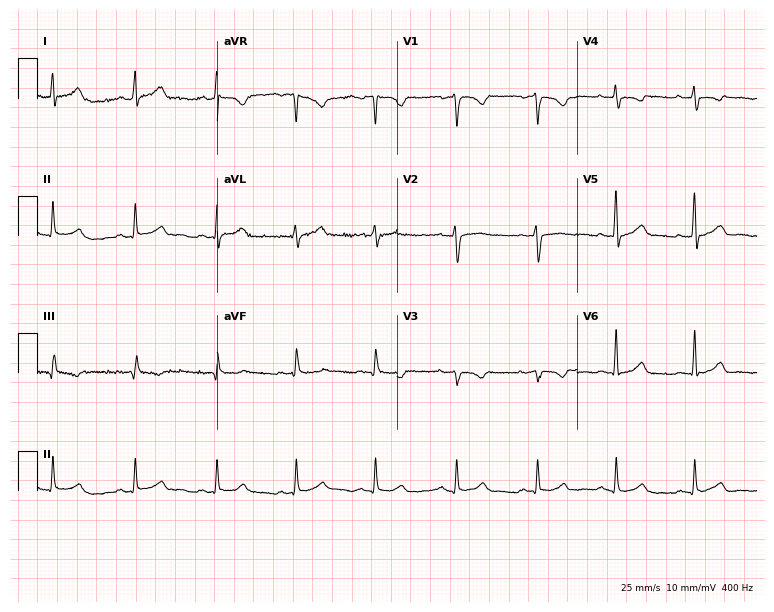
12-lead ECG from a 40-year-old female patient. Recorded interpretation: within normal limits.